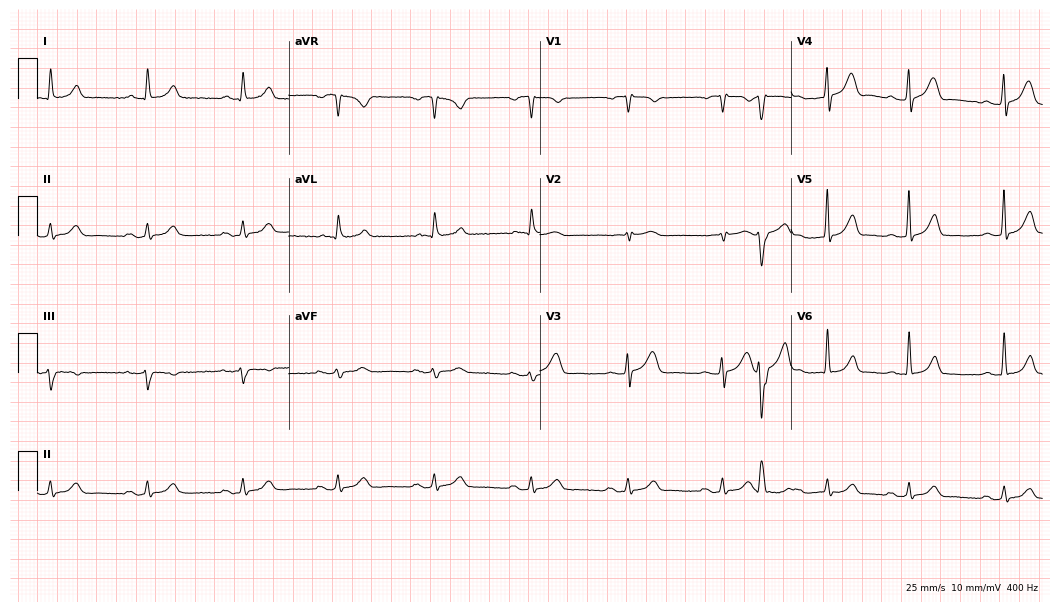
ECG — a 71-year-old man. Screened for six findings — first-degree AV block, right bundle branch block, left bundle branch block, sinus bradycardia, atrial fibrillation, sinus tachycardia — none is recorded.